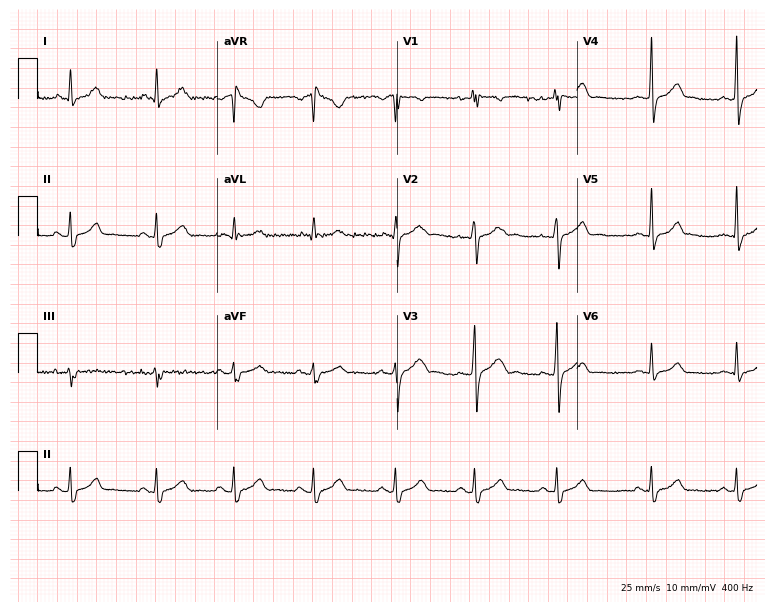
12-lead ECG (7.3-second recording at 400 Hz) from a 28-year-old male patient. Labelled as a normal ECG.